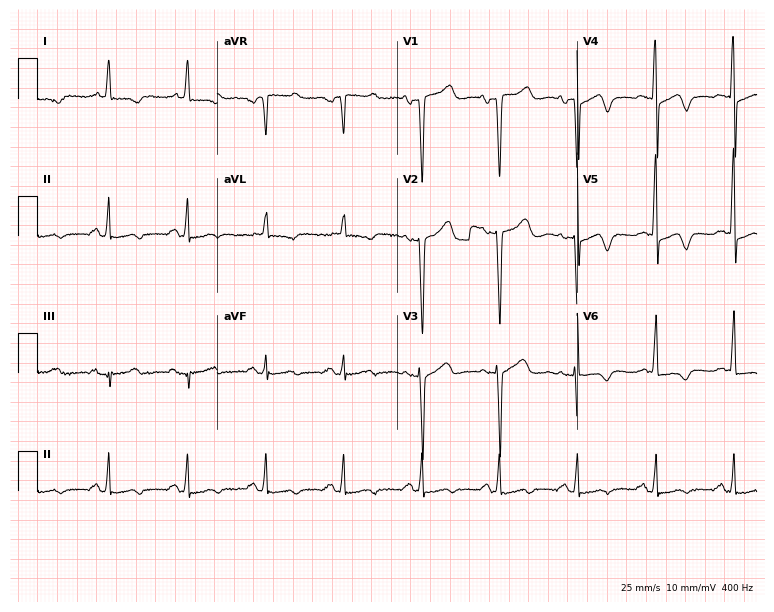
ECG — a woman, 74 years old. Screened for six findings — first-degree AV block, right bundle branch block (RBBB), left bundle branch block (LBBB), sinus bradycardia, atrial fibrillation (AF), sinus tachycardia — none is recorded.